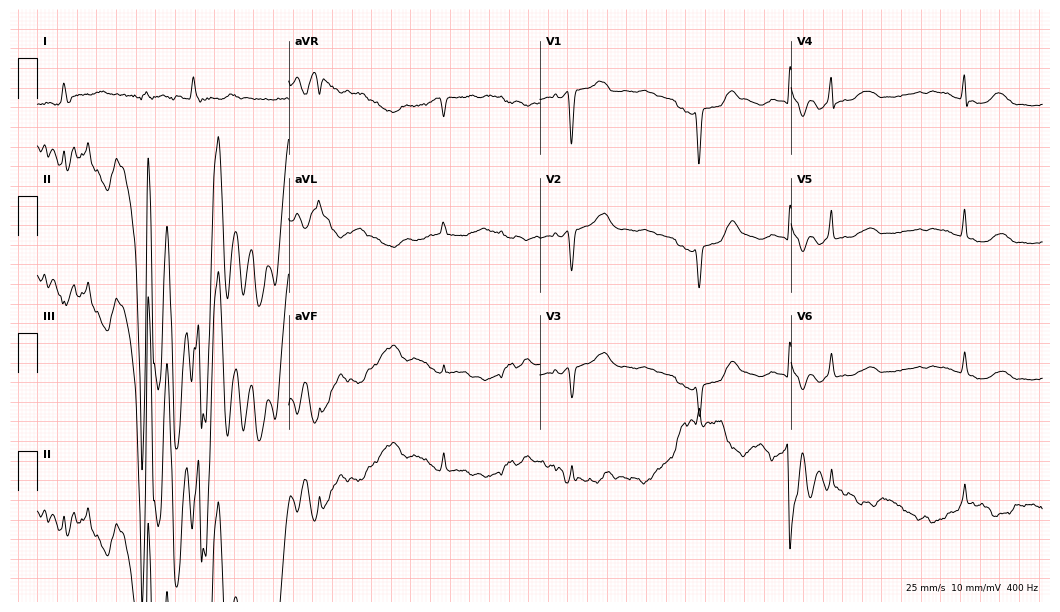
ECG — a female patient, 79 years old. Screened for six findings — first-degree AV block, right bundle branch block (RBBB), left bundle branch block (LBBB), sinus bradycardia, atrial fibrillation (AF), sinus tachycardia — none is recorded. Findings outside these six are not listed.